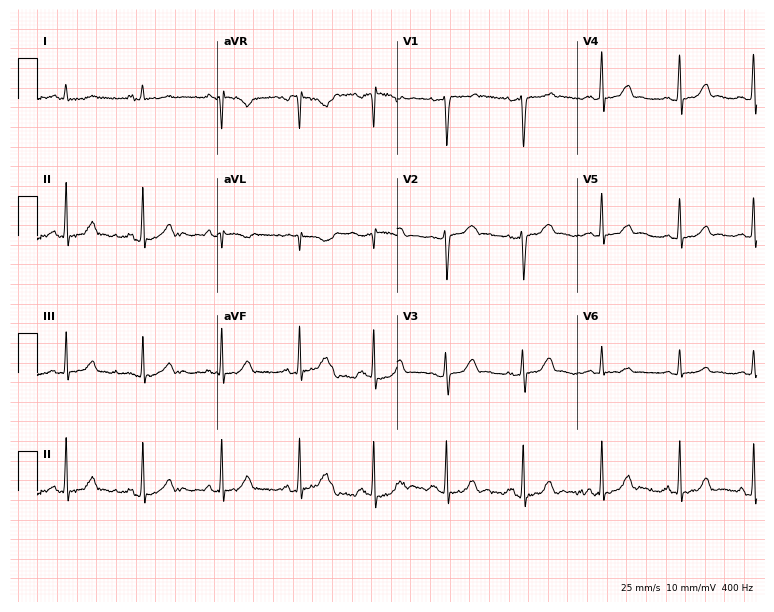
12-lead ECG (7.3-second recording at 400 Hz) from a 23-year-old woman. Labelled as a normal ECG.